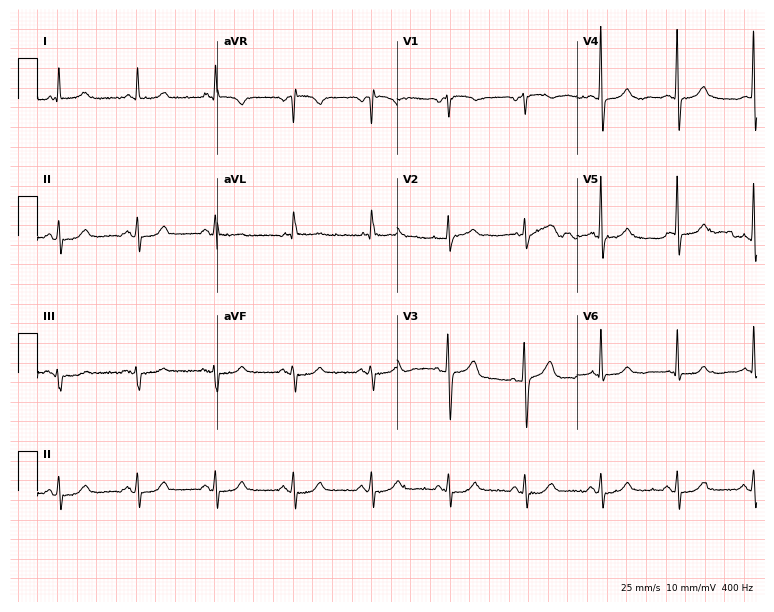
Resting 12-lead electrocardiogram (7.3-second recording at 400 Hz). Patient: a man, 67 years old. None of these six findings is recorded: first-degree AV block, right bundle branch block, left bundle branch block, sinus bradycardia, atrial fibrillation, sinus tachycardia.